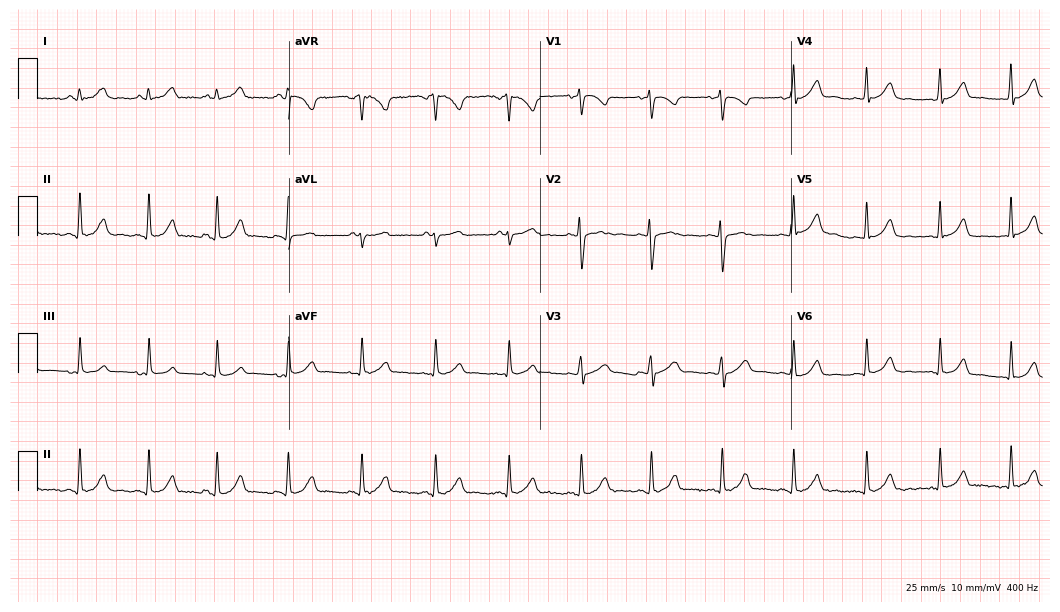
12-lead ECG from a 31-year-old female. Labelled as a normal ECG.